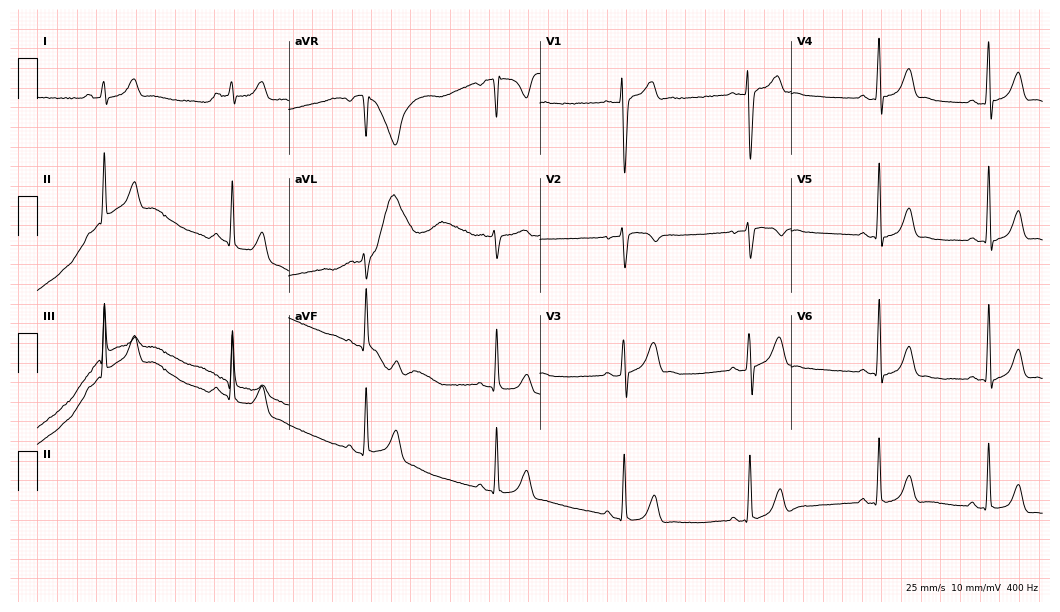
Resting 12-lead electrocardiogram (10.2-second recording at 400 Hz). Patient: a 19-year-old male. None of these six findings is recorded: first-degree AV block, right bundle branch block, left bundle branch block, sinus bradycardia, atrial fibrillation, sinus tachycardia.